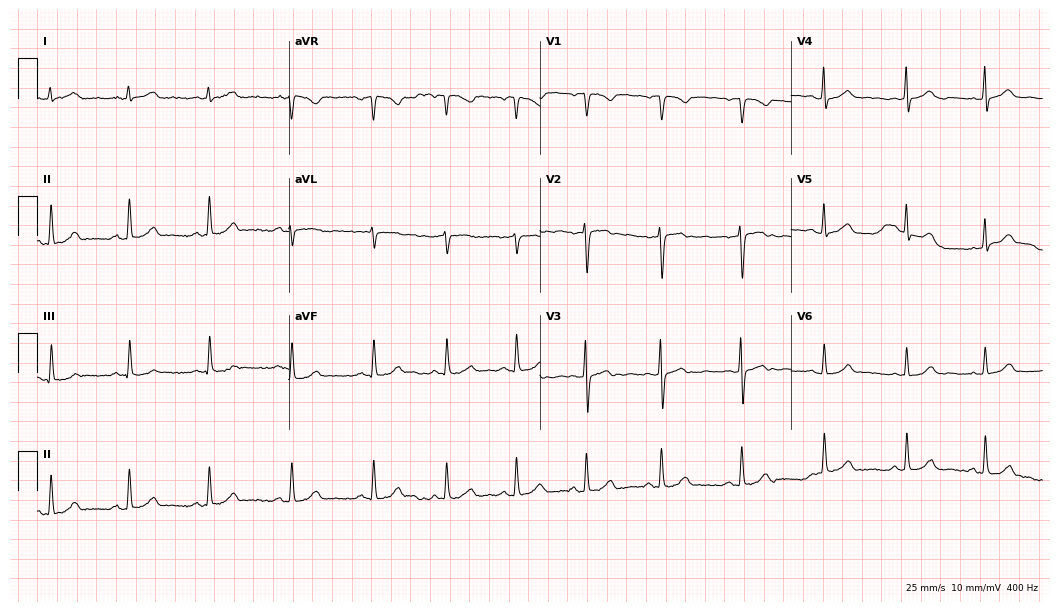
ECG (10.2-second recording at 400 Hz) — a 35-year-old female. Labelled as a normal ECG.